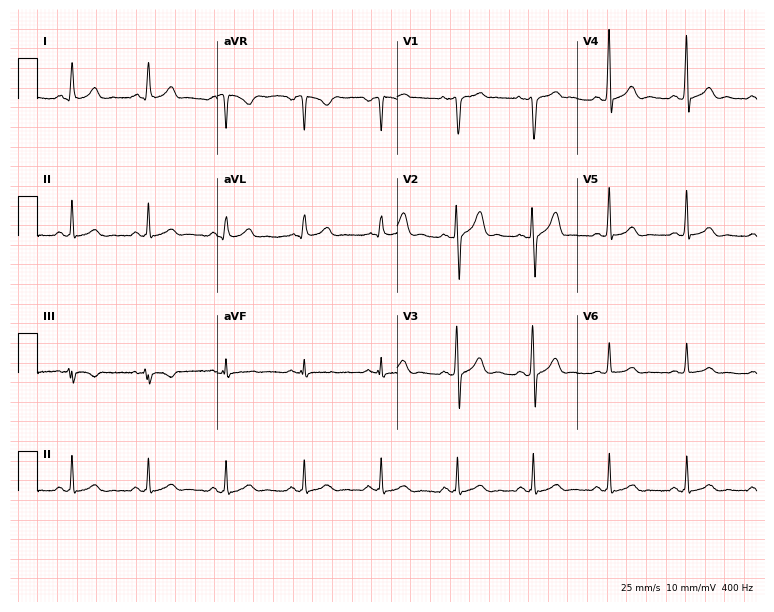
ECG (7.3-second recording at 400 Hz) — a 31-year-old male patient. Labelled as a normal ECG.